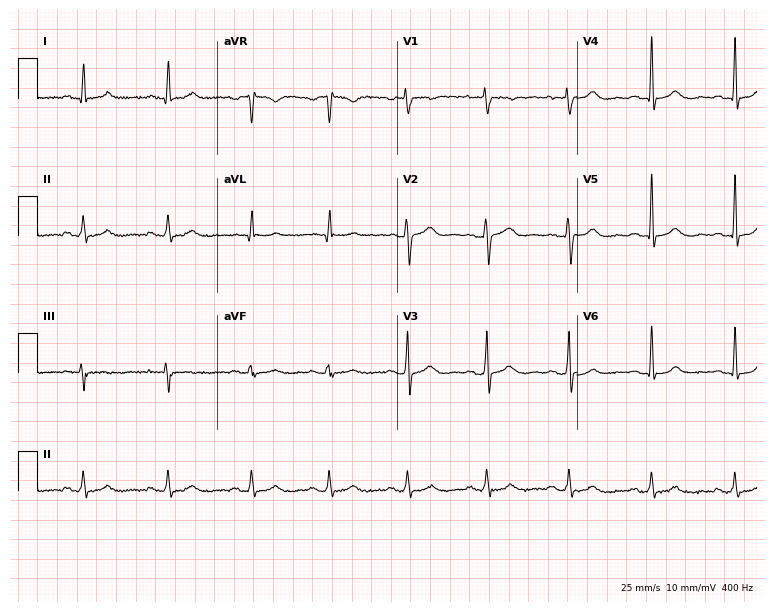
12-lead ECG from a 44-year-old woman. Recorded interpretation: within normal limits.